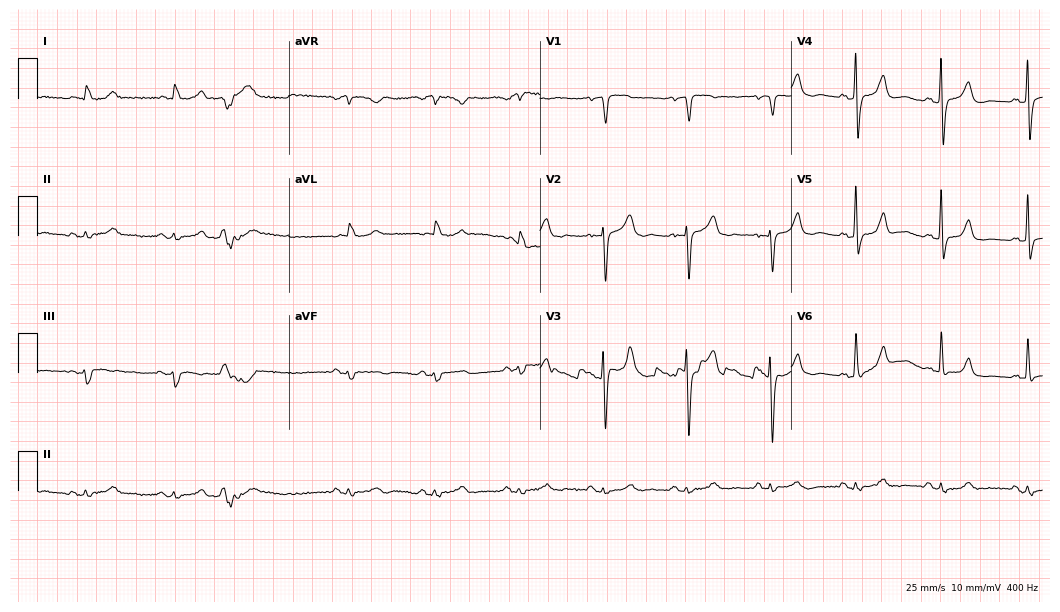
Resting 12-lead electrocardiogram. Patient: a male, 82 years old. Read as a normal ECG.